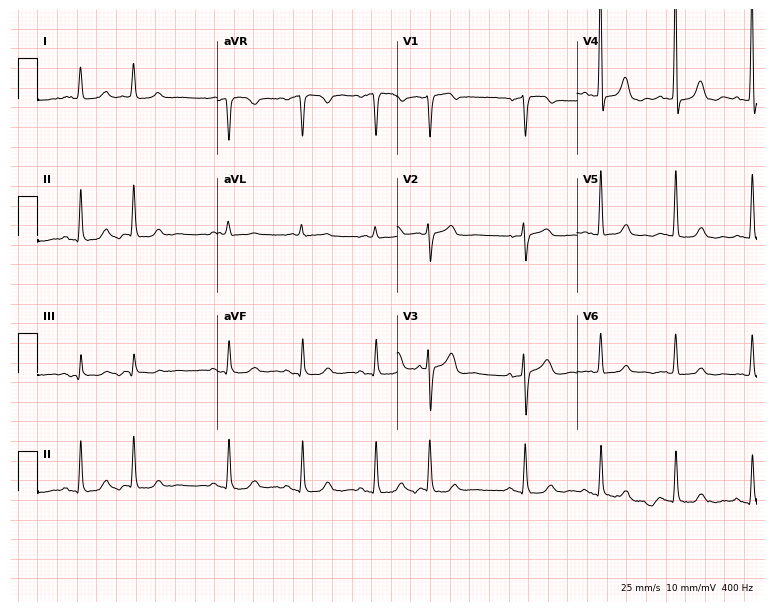
ECG — a female, 75 years old. Screened for six findings — first-degree AV block, right bundle branch block, left bundle branch block, sinus bradycardia, atrial fibrillation, sinus tachycardia — none is recorded.